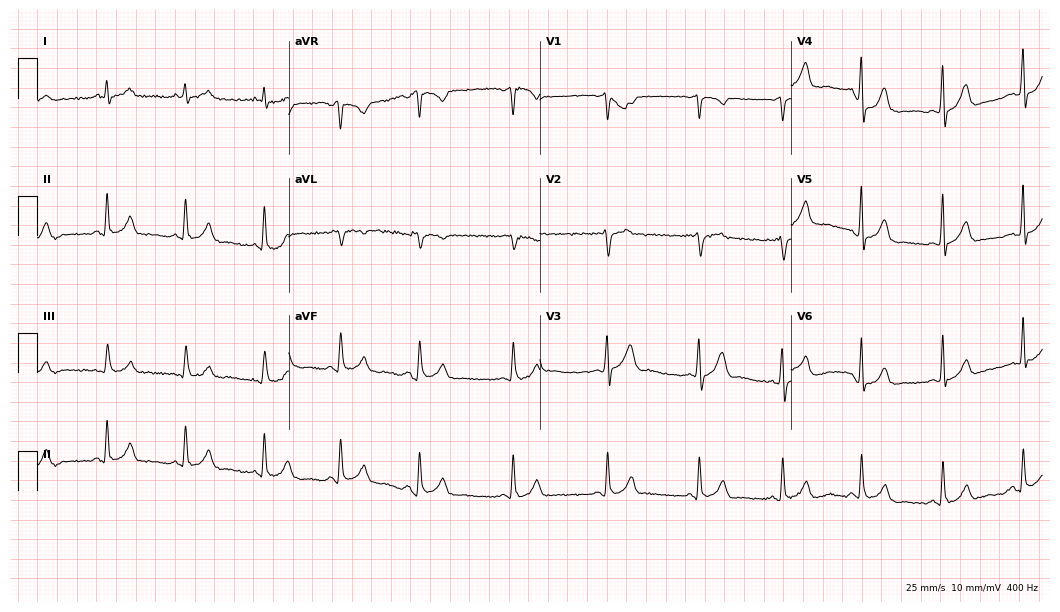
Electrocardiogram (10.2-second recording at 400 Hz), a male patient, 32 years old. Overall reading on record: normal ECG.